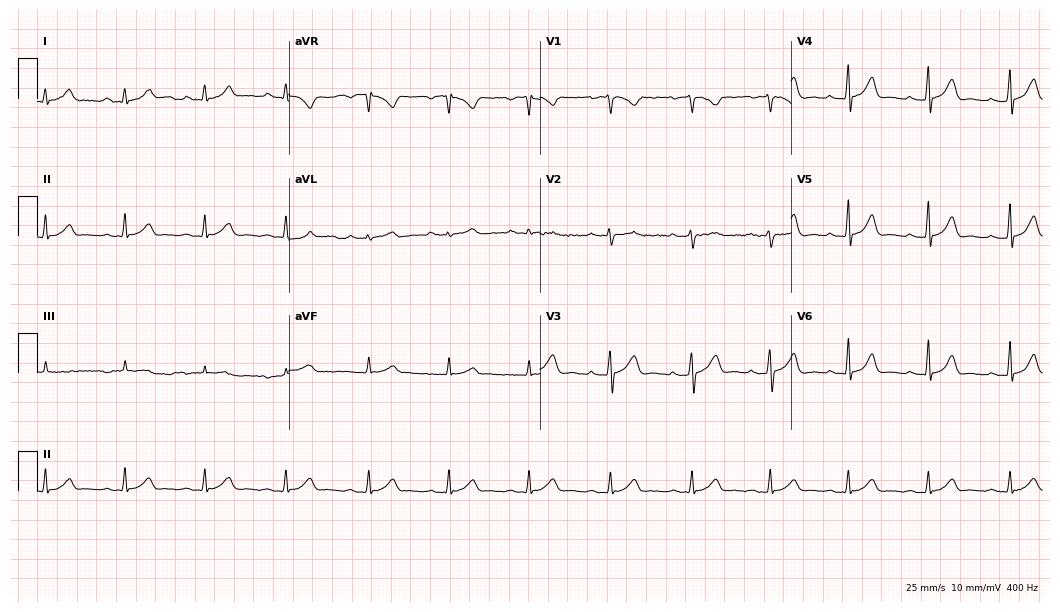
Standard 12-lead ECG recorded from a woman, 38 years old. Read as a normal ECG.